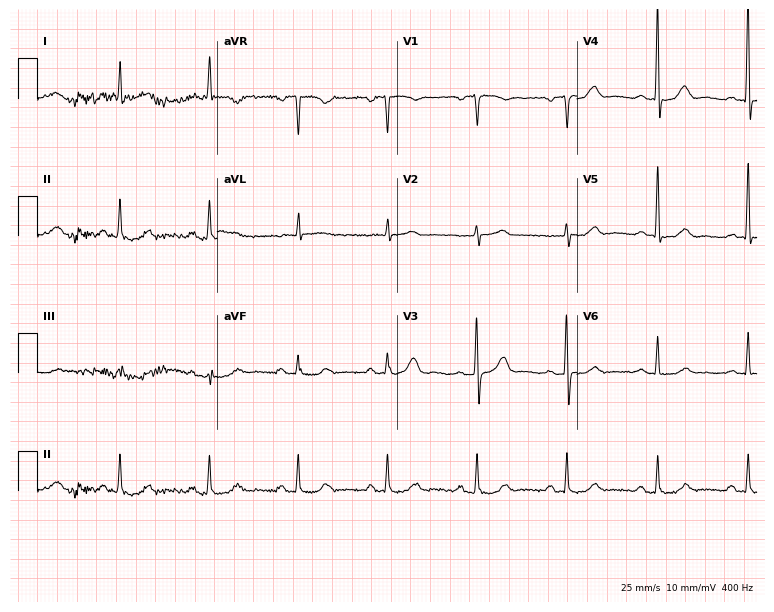
12-lead ECG from an 85-year-old male patient. Recorded interpretation: within normal limits.